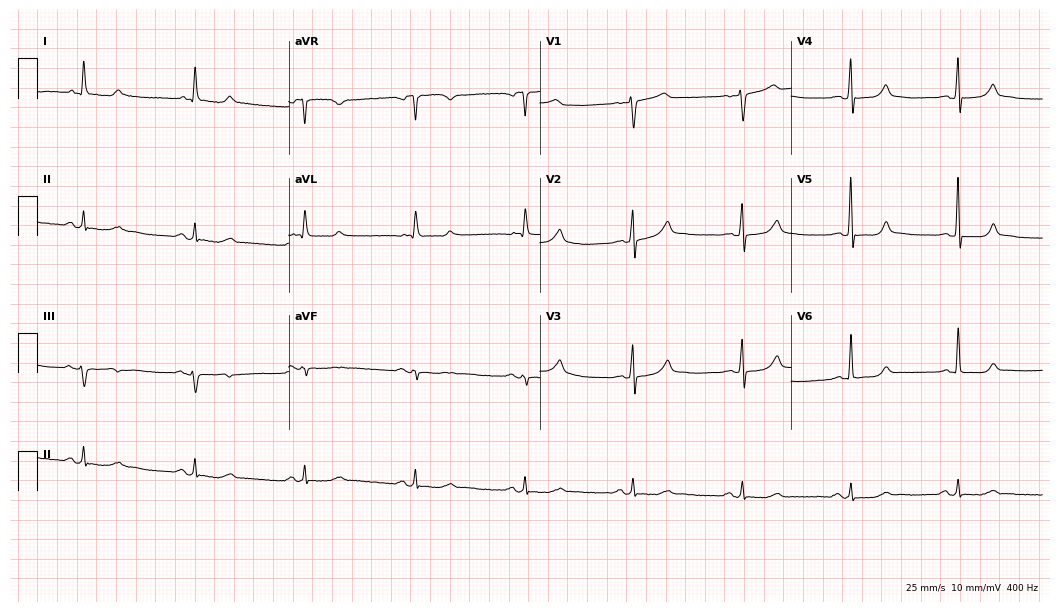
Resting 12-lead electrocardiogram. Patient: a 69-year-old woman. Read as a normal ECG.